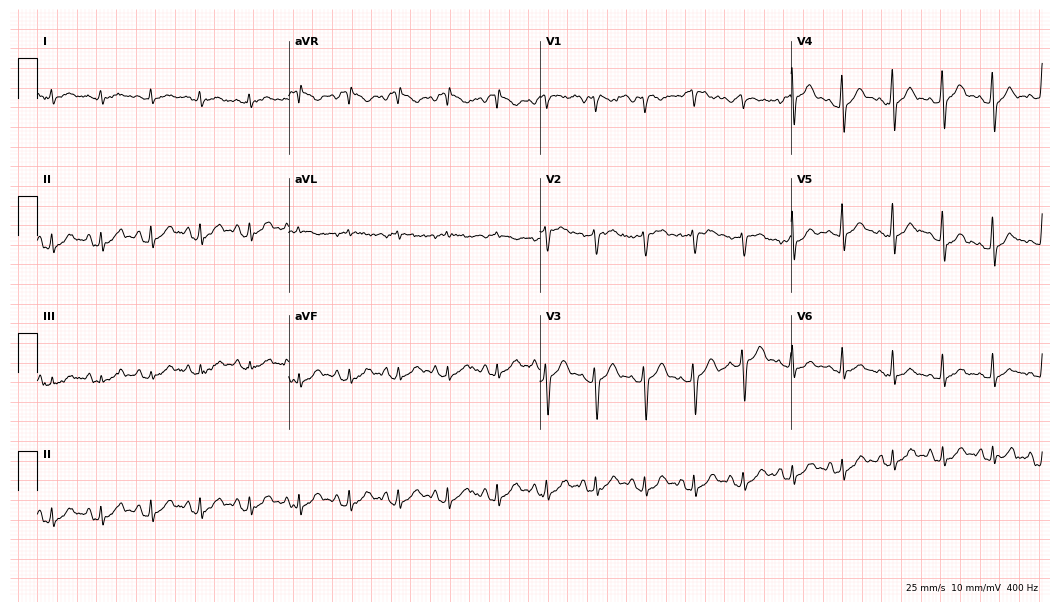
Standard 12-lead ECG recorded from a woman, 40 years old (10.2-second recording at 400 Hz). None of these six findings is recorded: first-degree AV block, right bundle branch block (RBBB), left bundle branch block (LBBB), sinus bradycardia, atrial fibrillation (AF), sinus tachycardia.